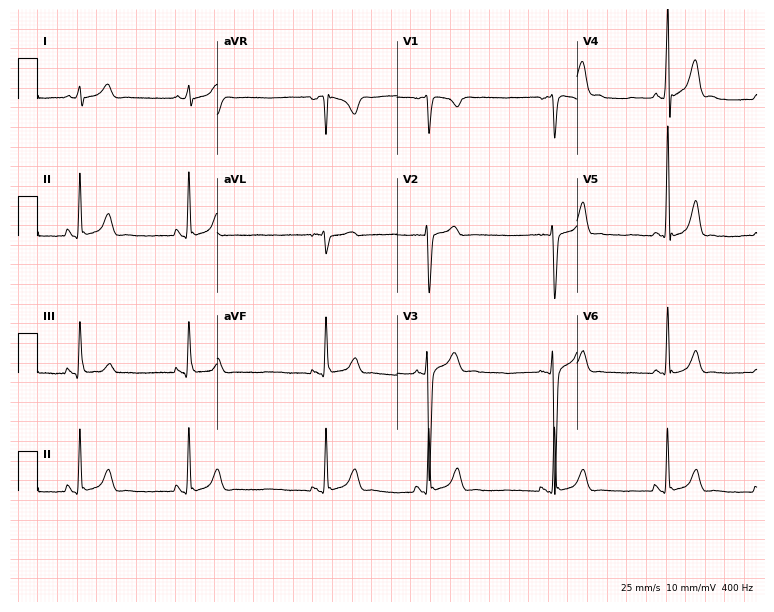
ECG — a male patient, 18 years old. Labelled as a normal ECG.